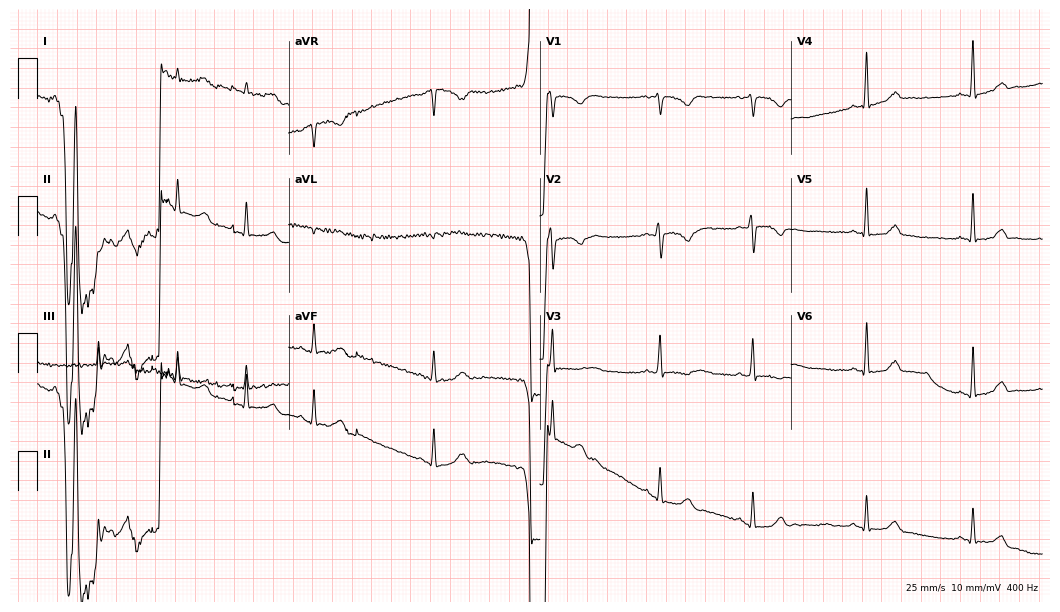
Standard 12-lead ECG recorded from a 23-year-old female. None of these six findings is recorded: first-degree AV block, right bundle branch block (RBBB), left bundle branch block (LBBB), sinus bradycardia, atrial fibrillation (AF), sinus tachycardia.